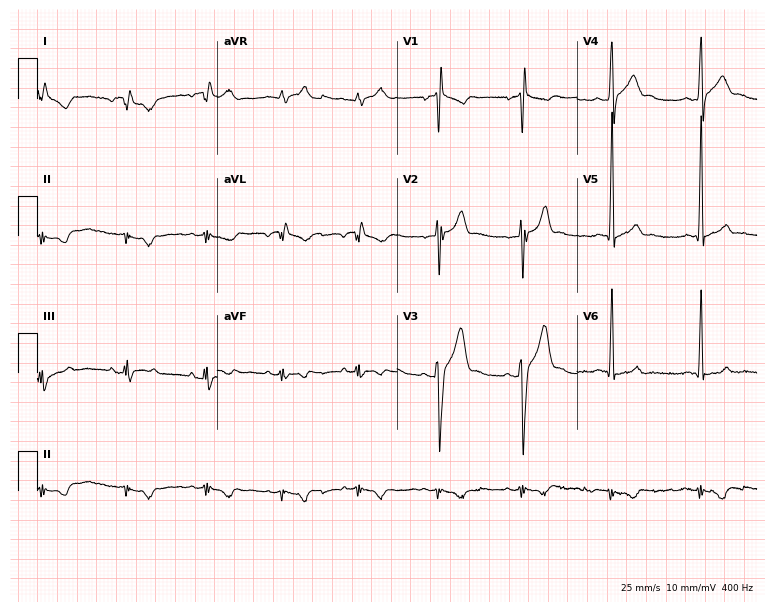
Standard 12-lead ECG recorded from a 28-year-old man (7.3-second recording at 400 Hz). None of these six findings is recorded: first-degree AV block, right bundle branch block (RBBB), left bundle branch block (LBBB), sinus bradycardia, atrial fibrillation (AF), sinus tachycardia.